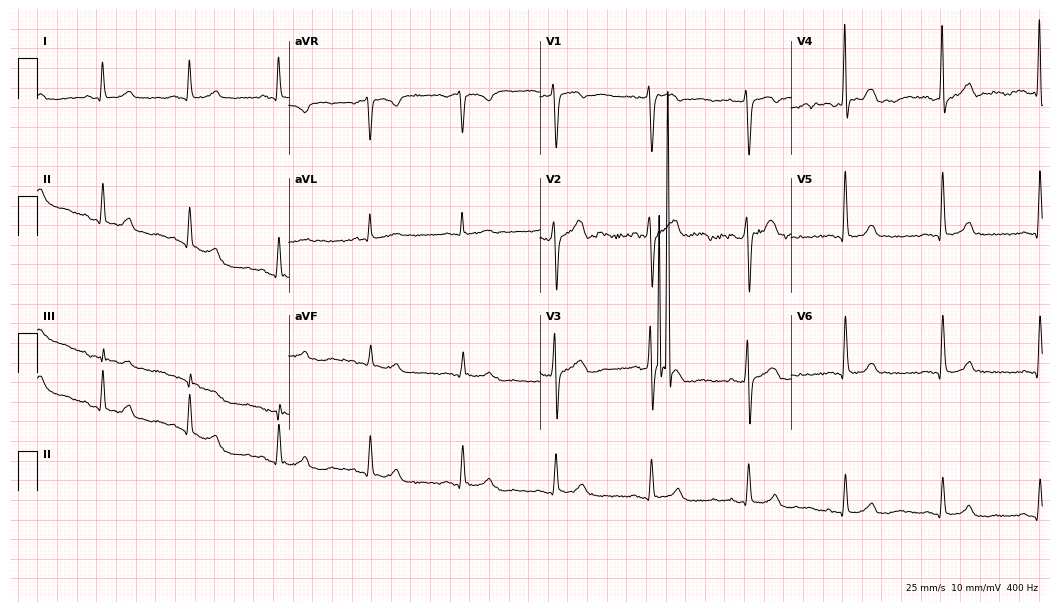
12-lead ECG (10.2-second recording at 400 Hz) from a male, 47 years old. Screened for six findings — first-degree AV block, right bundle branch block, left bundle branch block, sinus bradycardia, atrial fibrillation, sinus tachycardia — none is recorded.